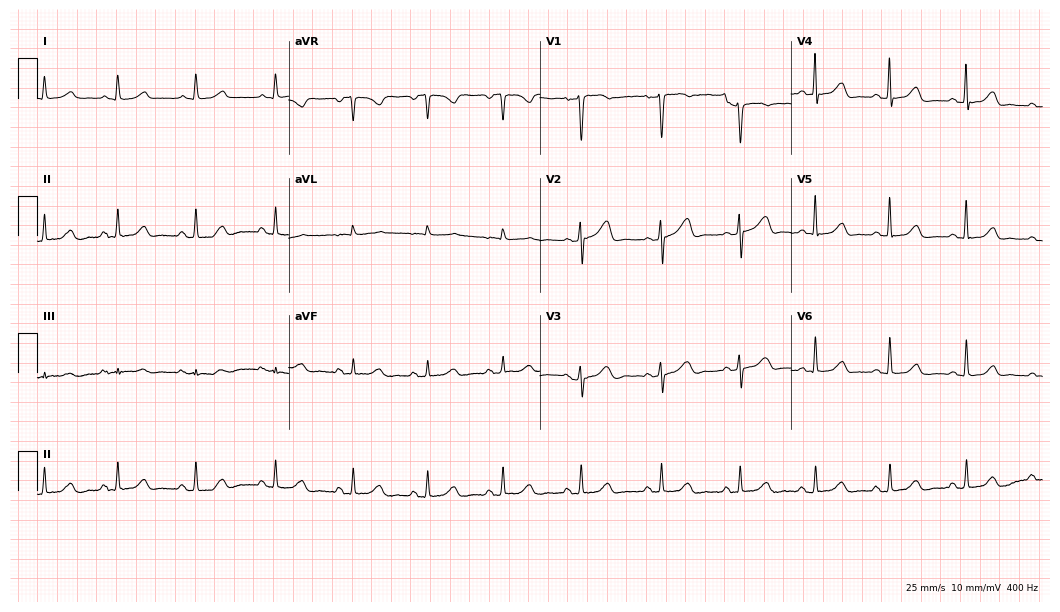
12-lead ECG (10.2-second recording at 400 Hz) from a 55-year-old woman. Labelled as a normal ECG.